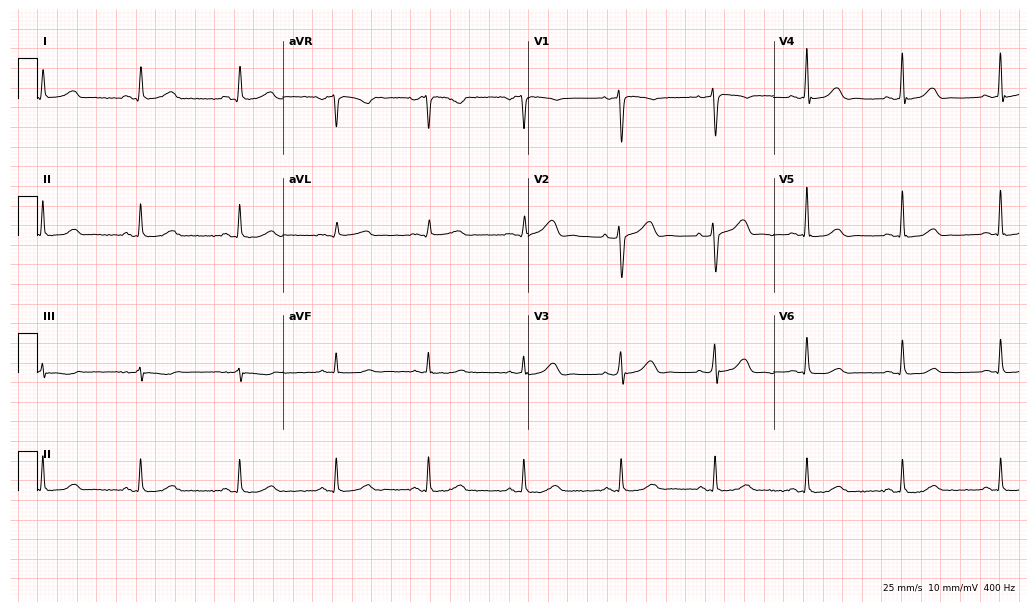
12-lead ECG (10-second recording at 400 Hz) from a 50-year-old female. Screened for six findings — first-degree AV block, right bundle branch block, left bundle branch block, sinus bradycardia, atrial fibrillation, sinus tachycardia — none is recorded.